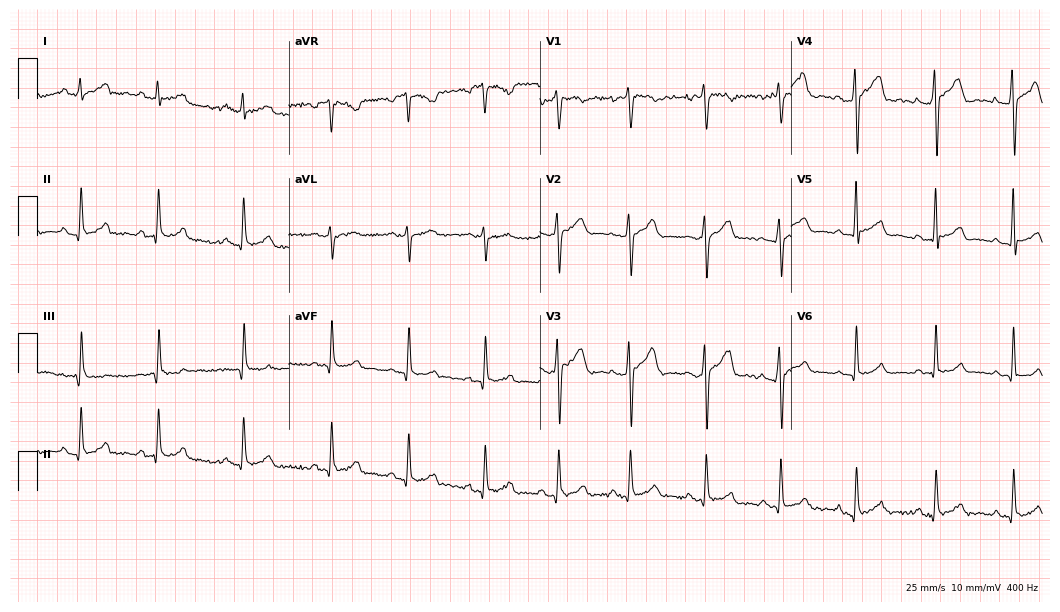
Electrocardiogram, a 25-year-old male patient. Overall reading on record: normal ECG.